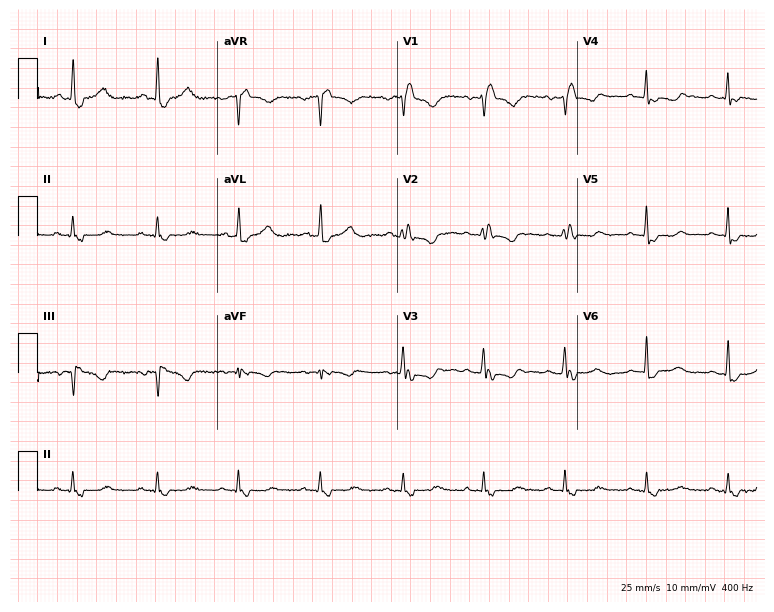
ECG — a female patient, 56 years old. Screened for six findings — first-degree AV block, right bundle branch block, left bundle branch block, sinus bradycardia, atrial fibrillation, sinus tachycardia — none is recorded.